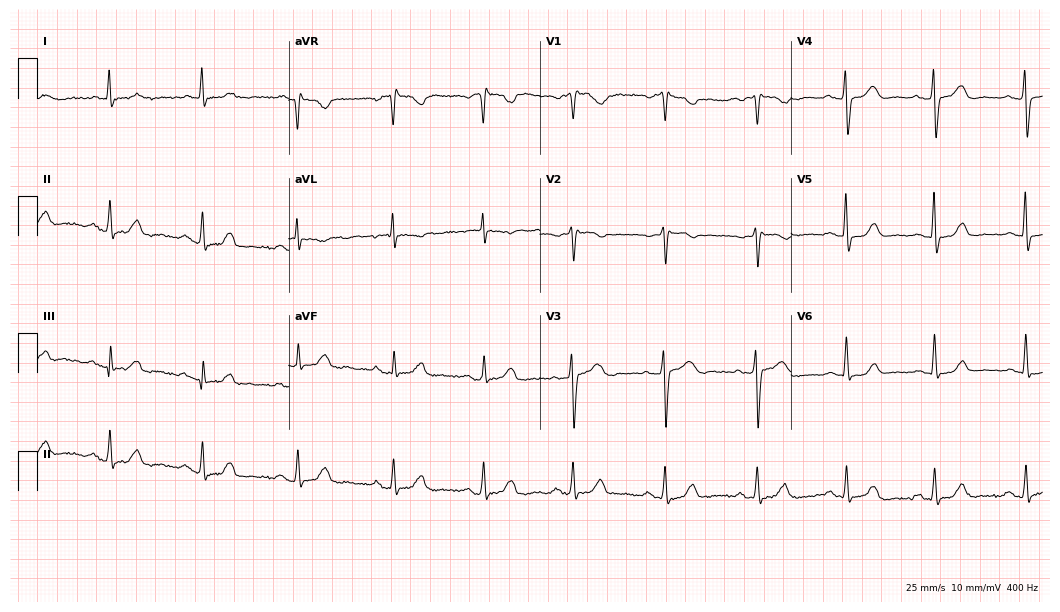
Resting 12-lead electrocardiogram (10.2-second recording at 400 Hz). Patient: a female, 62 years old. Read as a normal ECG.